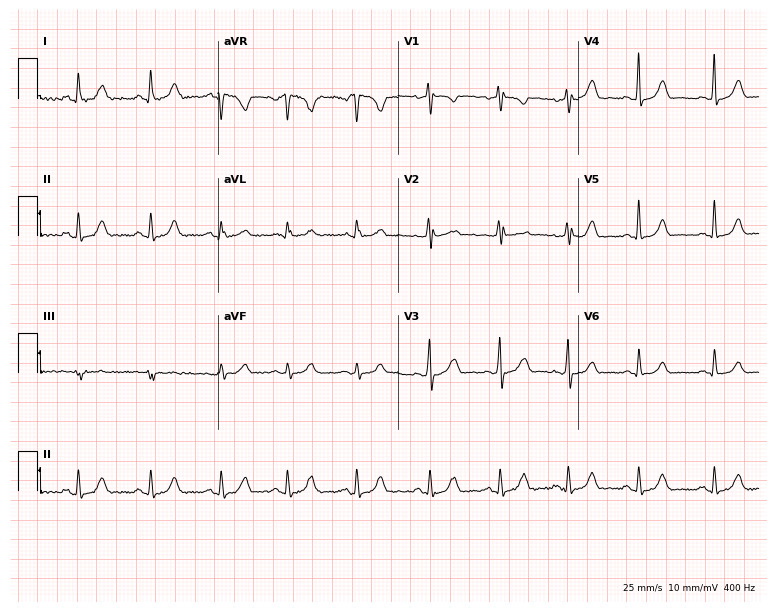
Resting 12-lead electrocardiogram (7.4-second recording at 400 Hz). Patient: a female, 40 years old. Read as a normal ECG.